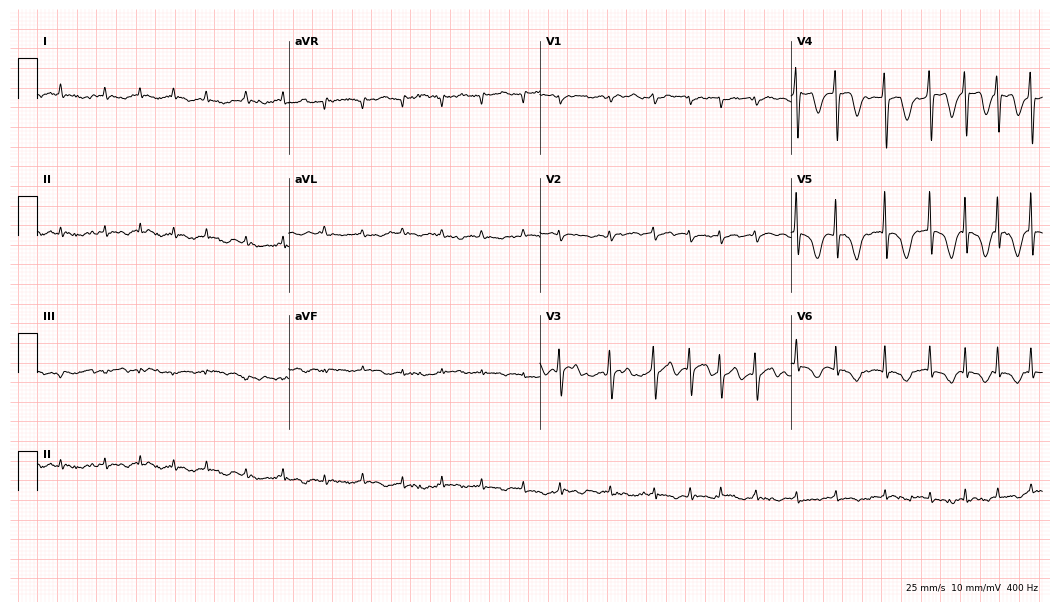
Resting 12-lead electrocardiogram (10.2-second recording at 400 Hz). Patient: an 81-year-old female. None of these six findings is recorded: first-degree AV block, right bundle branch block (RBBB), left bundle branch block (LBBB), sinus bradycardia, atrial fibrillation (AF), sinus tachycardia. Only these six findings were labelled.